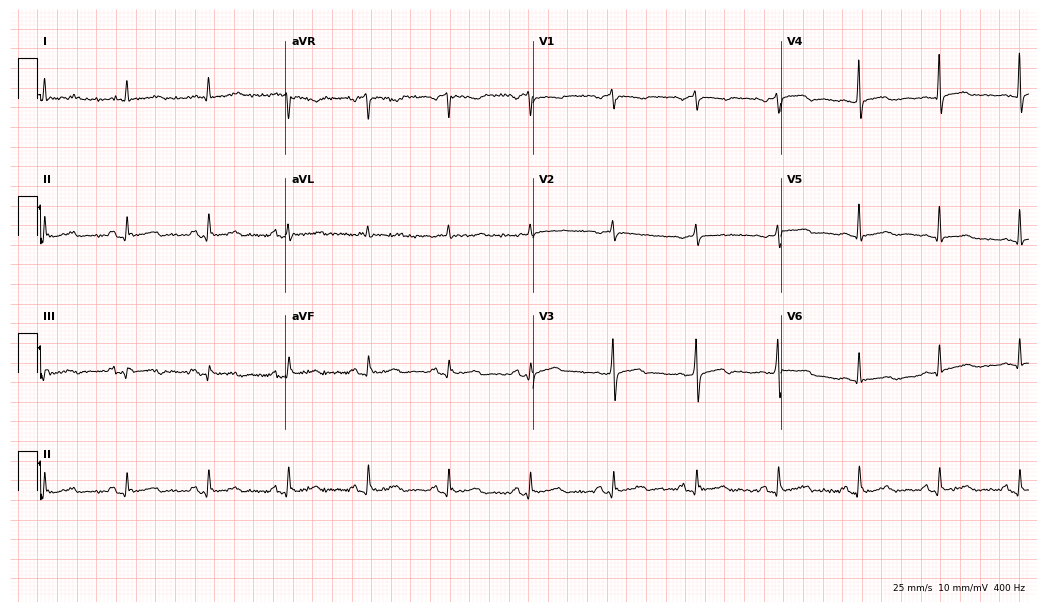
Standard 12-lead ECG recorded from a 67-year-old female. None of these six findings is recorded: first-degree AV block, right bundle branch block (RBBB), left bundle branch block (LBBB), sinus bradycardia, atrial fibrillation (AF), sinus tachycardia. Other findings, if any, are not listed.